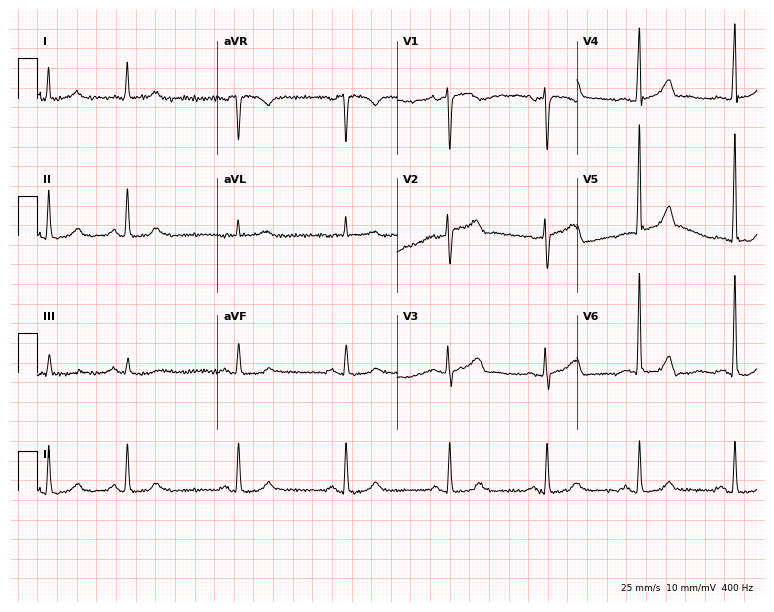
Standard 12-lead ECG recorded from a female patient, 55 years old. None of these six findings is recorded: first-degree AV block, right bundle branch block, left bundle branch block, sinus bradycardia, atrial fibrillation, sinus tachycardia. Findings outside these six are not listed.